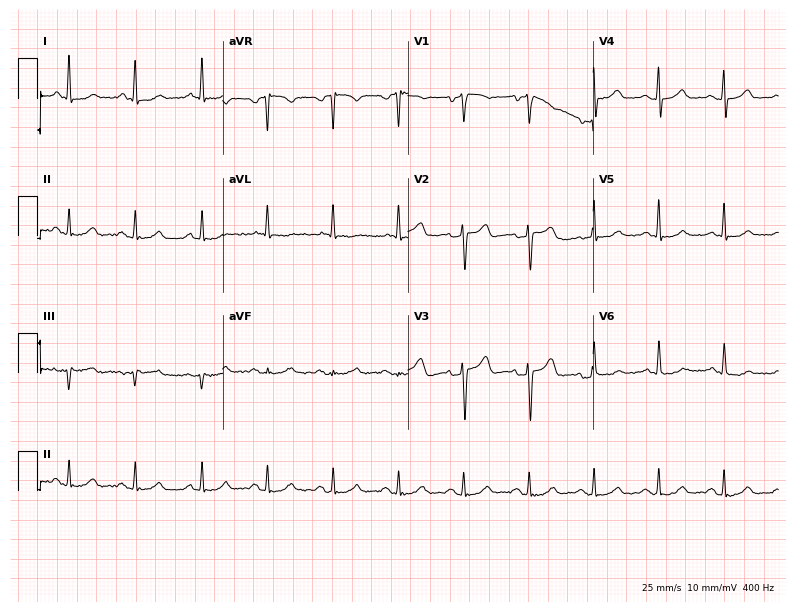
12-lead ECG from a 65-year-old female patient (7.6-second recording at 400 Hz). Recorded interpretation: within normal limits.